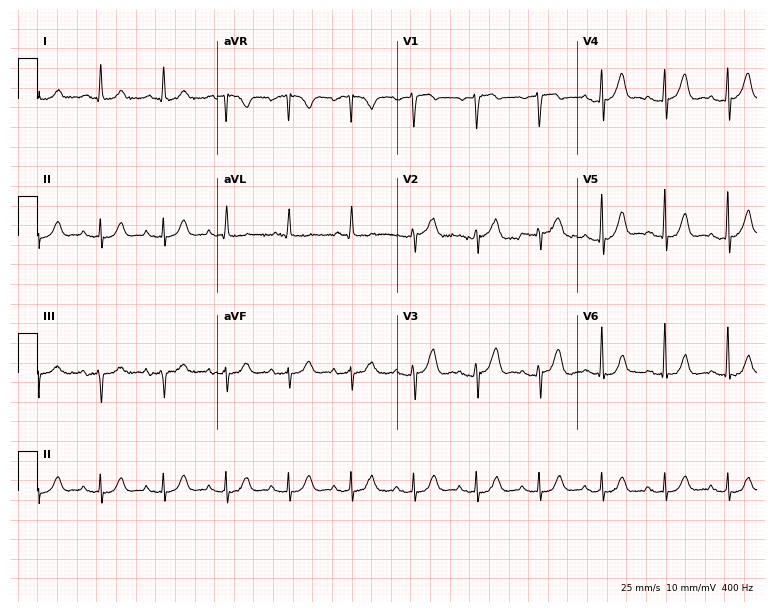
Resting 12-lead electrocardiogram (7.3-second recording at 400 Hz). Patient: a man, 79 years old. None of these six findings is recorded: first-degree AV block, right bundle branch block, left bundle branch block, sinus bradycardia, atrial fibrillation, sinus tachycardia.